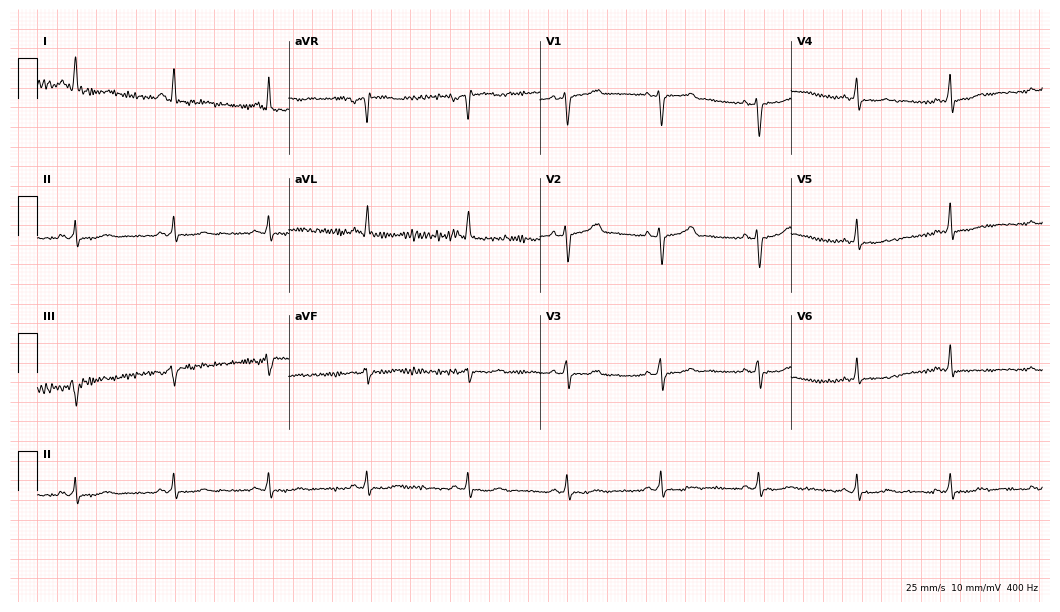
Electrocardiogram, a woman, 53 years old. Of the six screened findings (first-degree AV block, right bundle branch block (RBBB), left bundle branch block (LBBB), sinus bradycardia, atrial fibrillation (AF), sinus tachycardia), none is recorded.